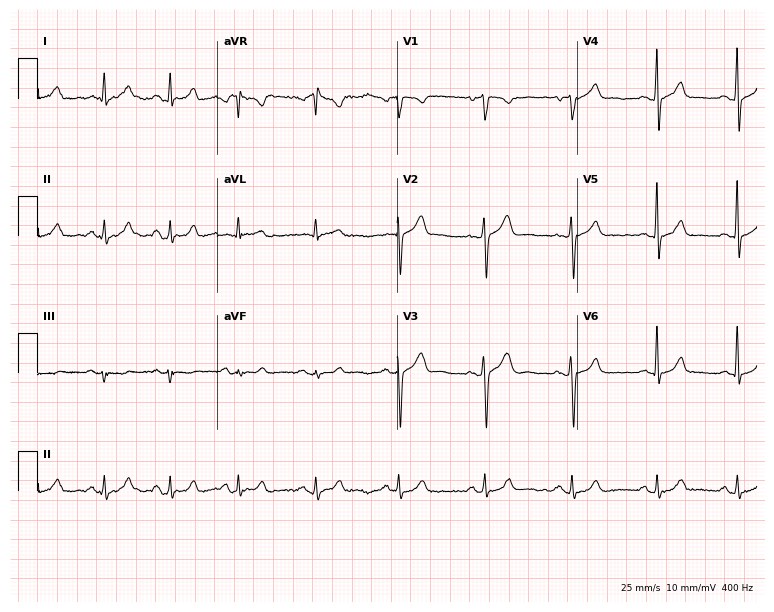
ECG (7.3-second recording at 400 Hz) — a 37-year-old male. Labelled as a normal ECG.